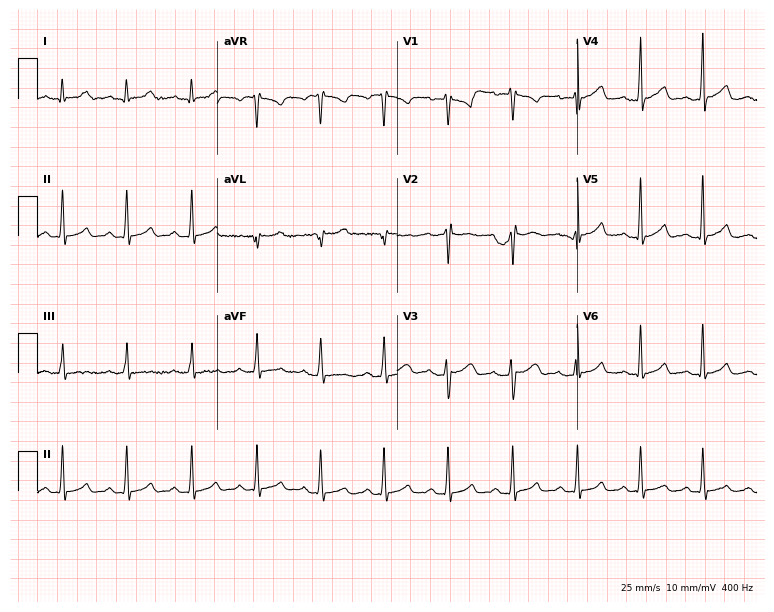
ECG — a 28-year-old female. Screened for six findings — first-degree AV block, right bundle branch block, left bundle branch block, sinus bradycardia, atrial fibrillation, sinus tachycardia — none is recorded.